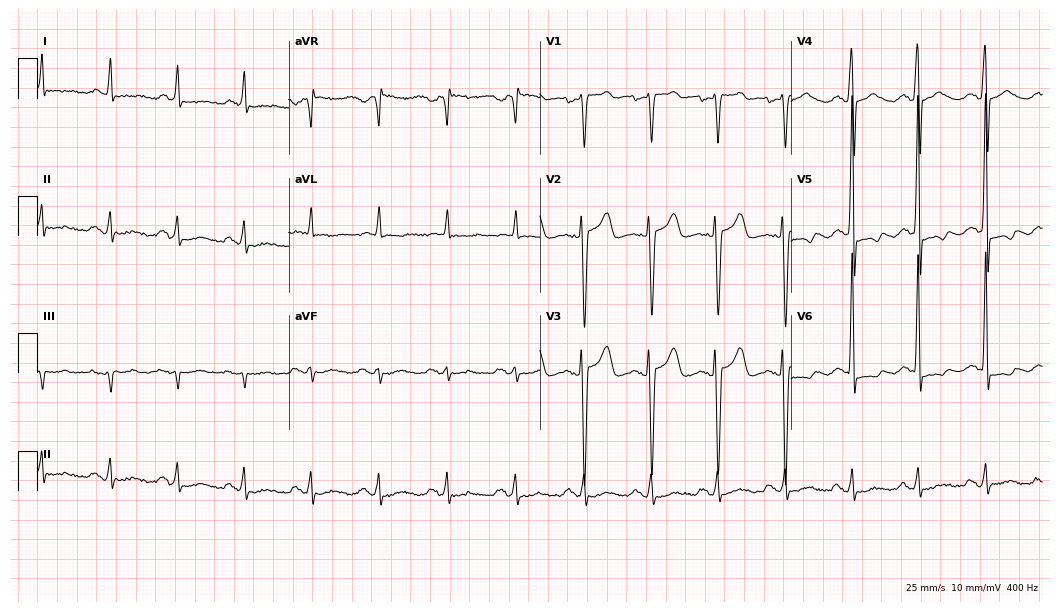
ECG (10.2-second recording at 400 Hz) — a male, 48 years old. Screened for six findings — first-degree AV block, right bundle branch block, left bundle branch block, sinus bradycardia, atrial fibrillation, sinus tachycardia — none is recorded. Other findings, if any, are not listed.